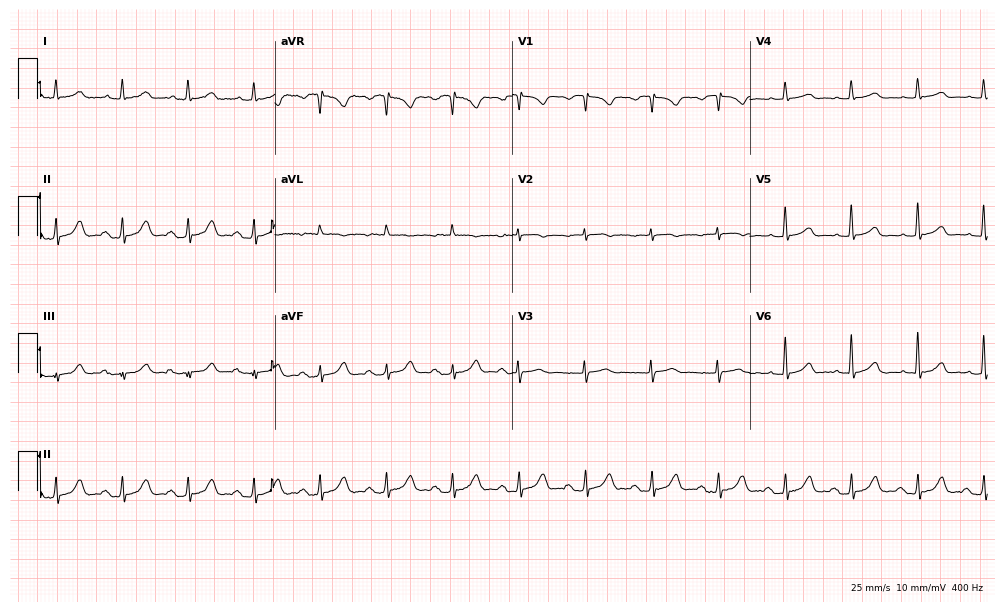
Standard 12-lead ECG recorded from a female patient, 81 years old. Read as a normal ECG.